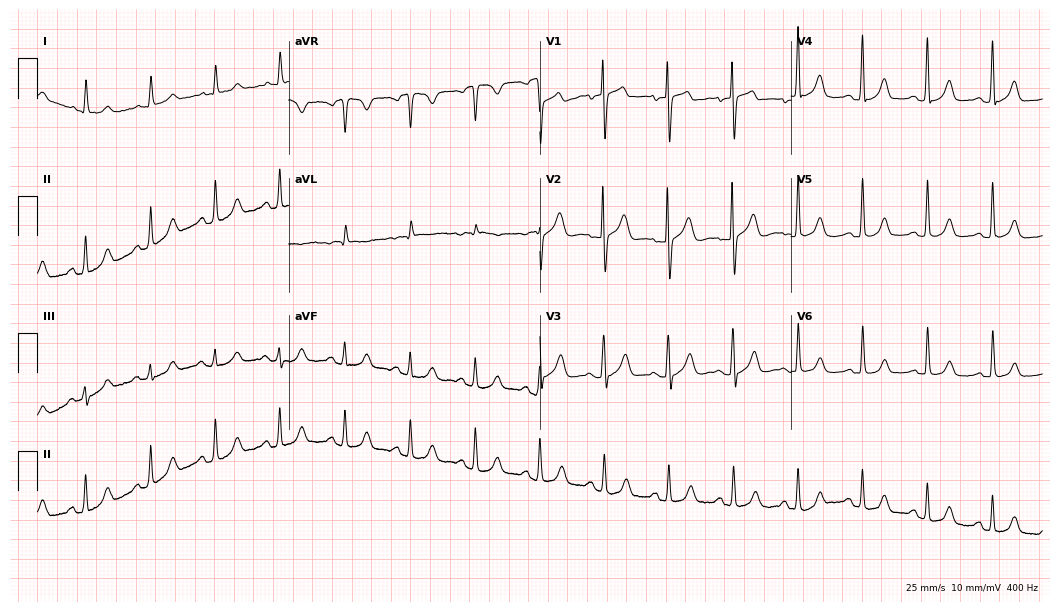
Resting 12-lead electrocardiogram. Patient: an 82-year-old male. Read as a normal ECG.